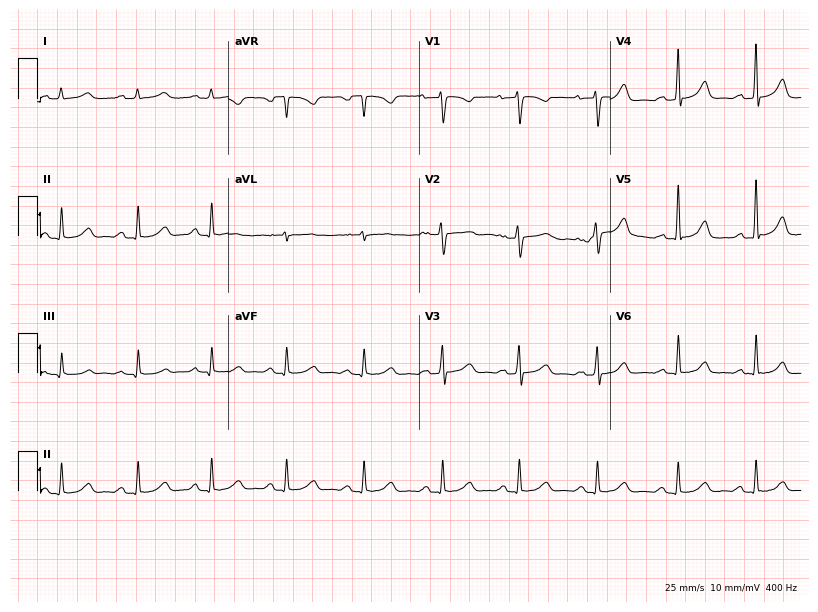
Standard 12-lead ECG recorded from a 43-year-old female patient. None of these six findings is recorded: first-degree AV block, right bundle branch block, left bundle branch block, sinus bradycardia, atrial fibrillation, sinus tachycardia.